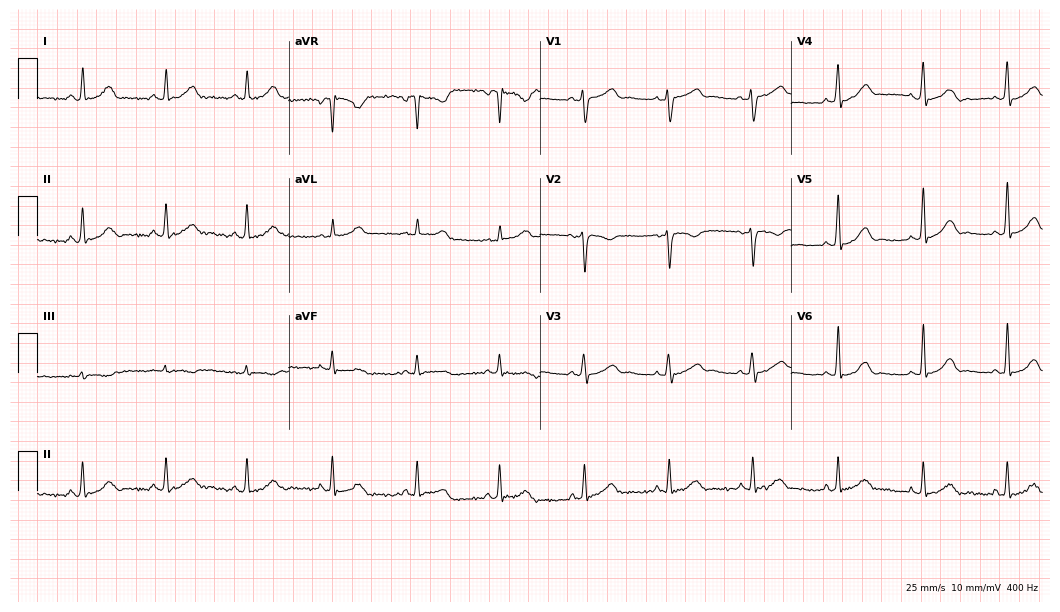
Resting 12-lead electrocardiogram. Patient: a 38-year-old female. Read as a normal ECG.